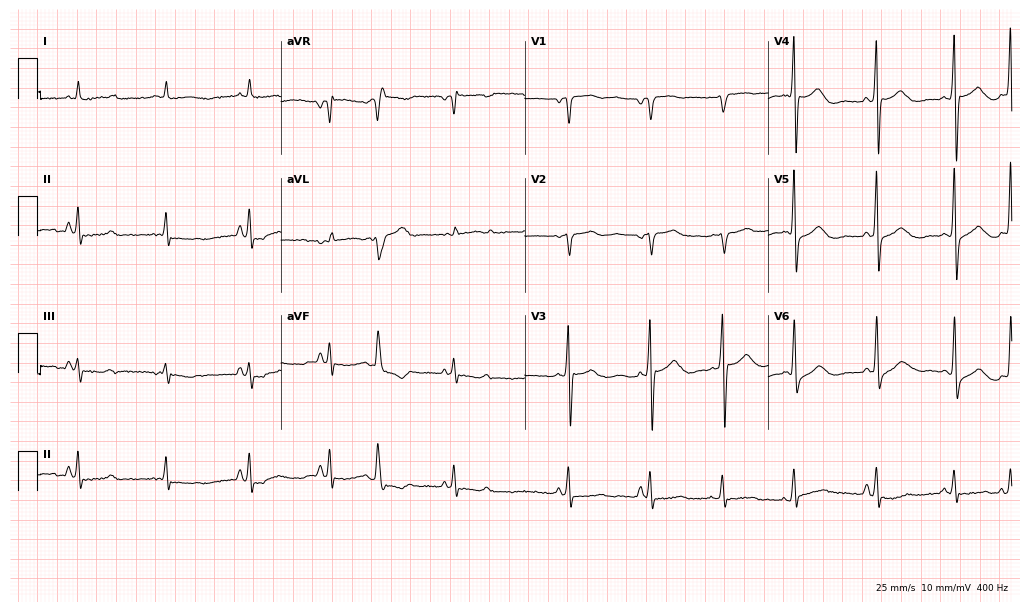
ECG — a 74-year-old male patient. Screened for six findings — first-degree AV block, right bundle branch block, left bundle branch block, sinus bradycardia, atrial fibrillation, sinus tachycardia — none is recorded. Only these six findings were labelled.